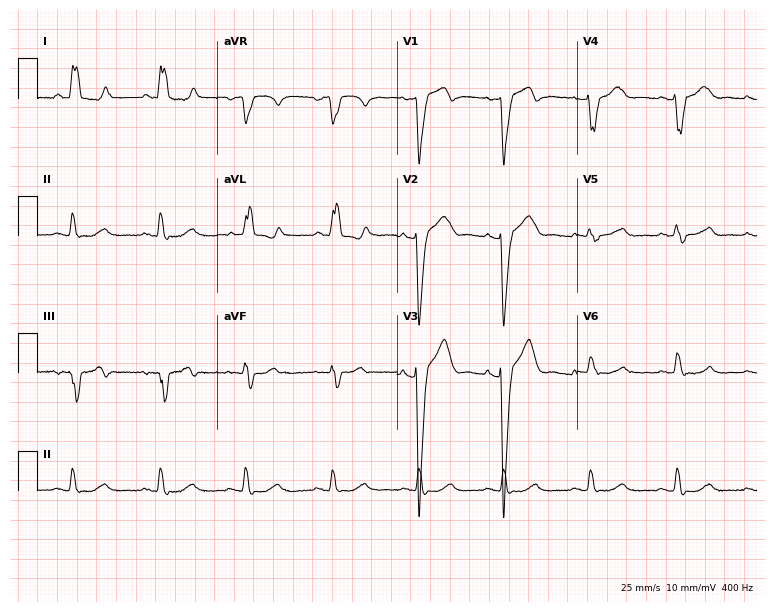
12-lead ECG from a female, 50 years old. Shows left bundle branch block (LBBB).